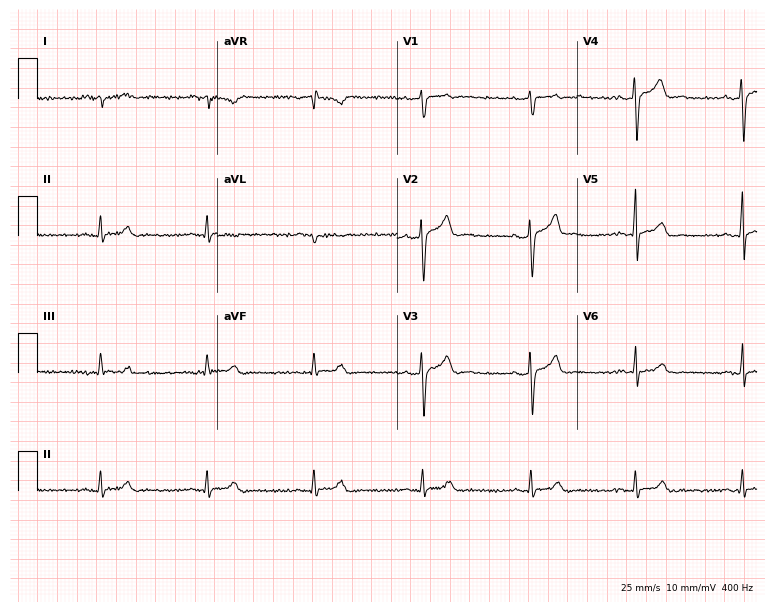
ECG (7.3-second recording at 400 Hz) — a 31-year-old man. Screened for six findings — first-degree AV block, right bundle branch block, left bundle branch block, sinus bradycardia, atrial fibrillation, sinus tachycardia — none is recorded. Findings outside these six are not listed.